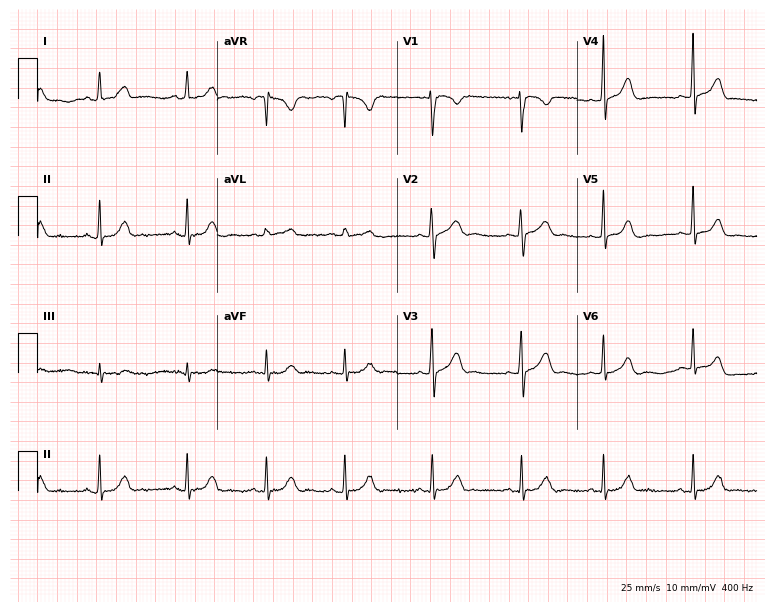
Electrocardiogram, a female patient, 23 years old. Of the six screened findings (first-degree AV block, right bundle branch block, left bundle branch block, sinus bradycardia, atrial fibrillation, sinus tachycardia), none is recorded. Only these six findings were labelled.